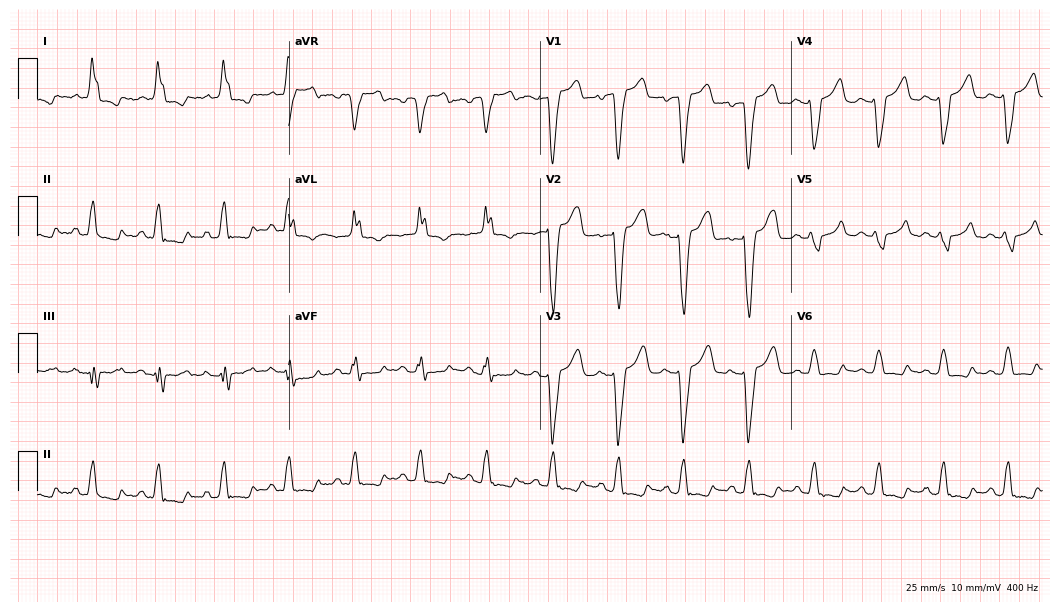
Standard 12-lead ECG recorded from a female patient, 59 years old. The tracing shows left bundle branch block.